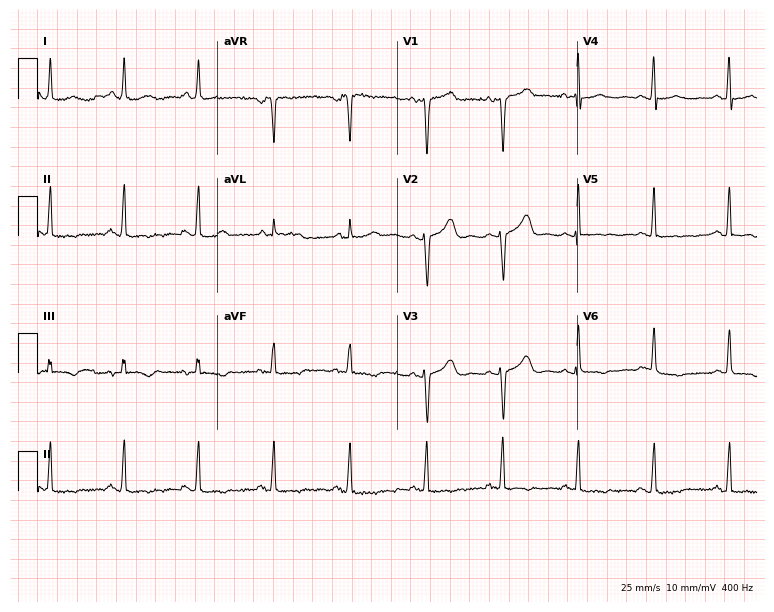
ECG — a female, 49 years old. Screened for six findings — first-degree AV block, right bundle branch block (RBBB), left bundle branch block (LBBB), sinus bradycardia, atrial fibrillation (AF), sinus tachycardia — none is recorded. Only these six findings were labelled.